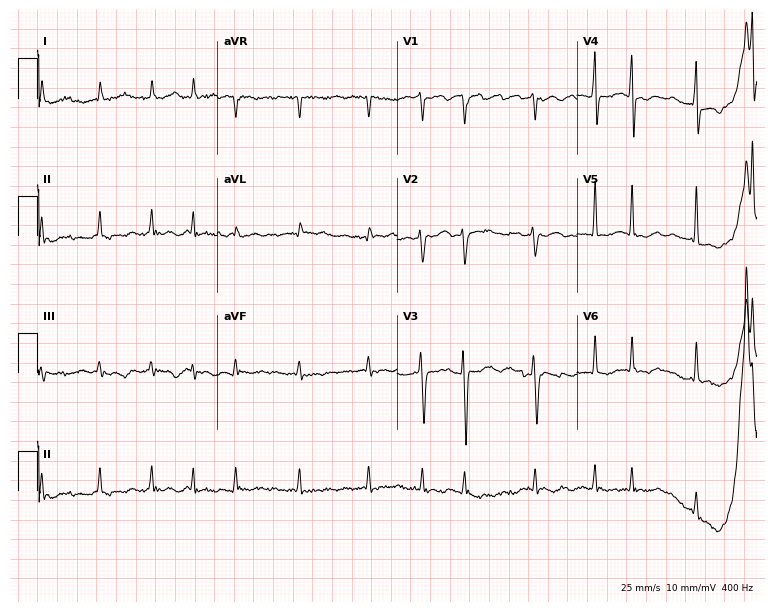
12-lead ECG from a man, 70 years old. Shows atrial fibrillation.